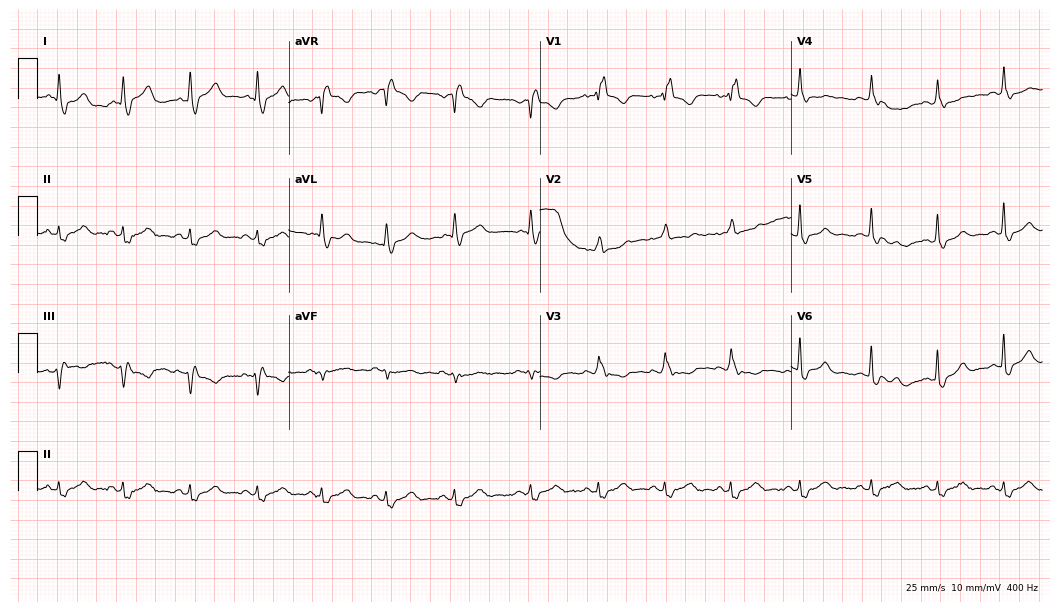
ECG (10.2-second recording at 400 Hz) — a female, 48 years old. Findings include right bundle branch block (RBBB).